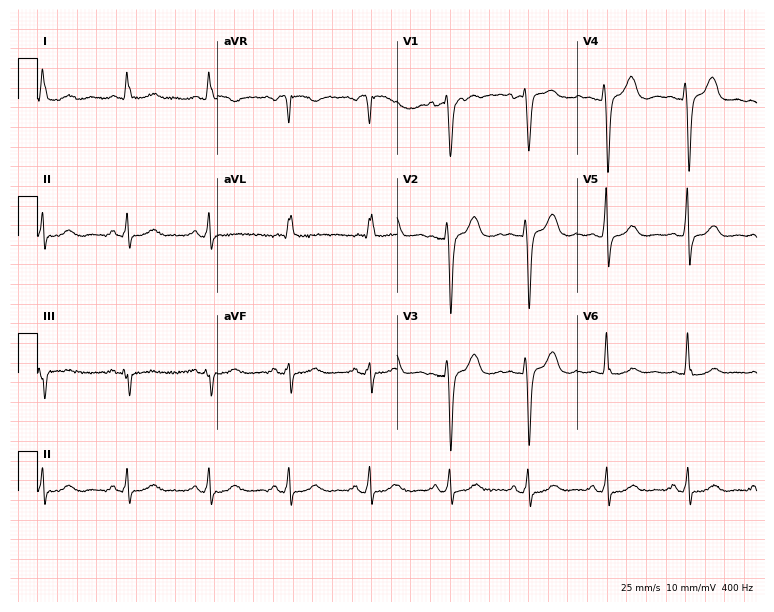
ECG (7.3-second recording at 400 Hz) — a 51-year-old female. Screened for six findings — first-degree AV block, right bundle branch block, left bundle branch block, sinus bradycardia, atrial fibrillation, sinus tachycardia — none is recorded.